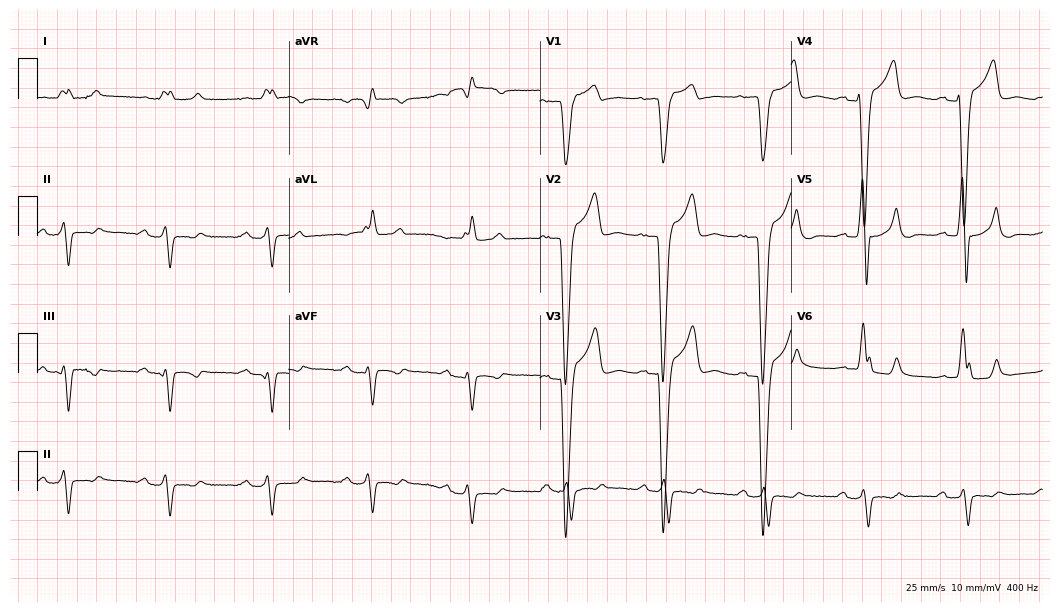
Electrocardiogram (10.2-second recording at 400 Hz), a 63-year-old male. Interpretation includes first-degree AV block, left bundle branch block.